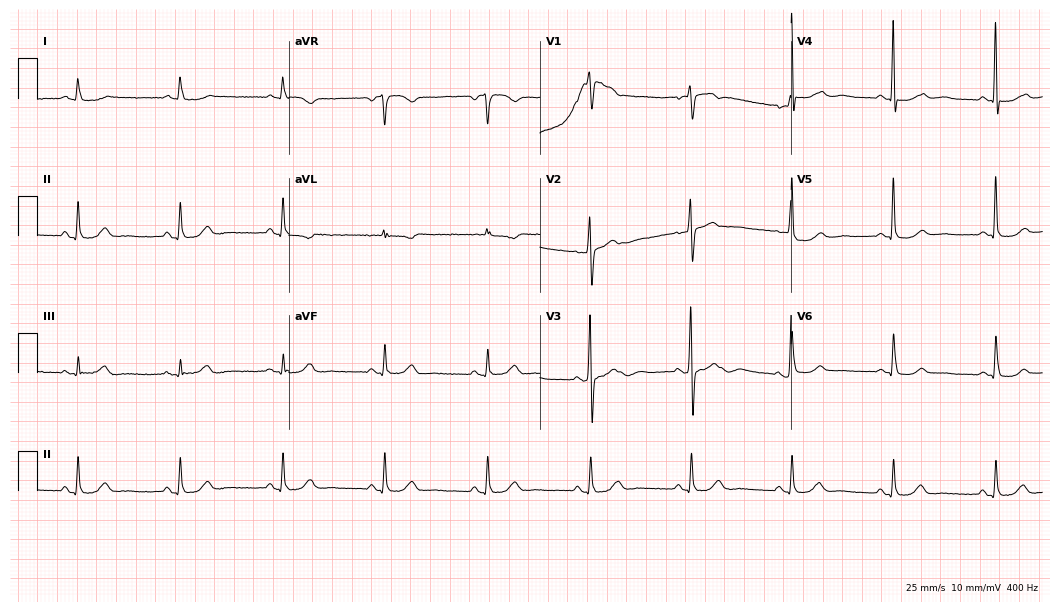
Resting 12-lead electrocardiogram. Patient: a female, 70 years old. None of these six findings is recorded: first-degree AV block, right bundle branch block (RBBB), left bundle branch block (LBBB), sinus bradycardia, atrial fibrillation (AF), sinus tachycardia. Other findings, if any, are not listed.